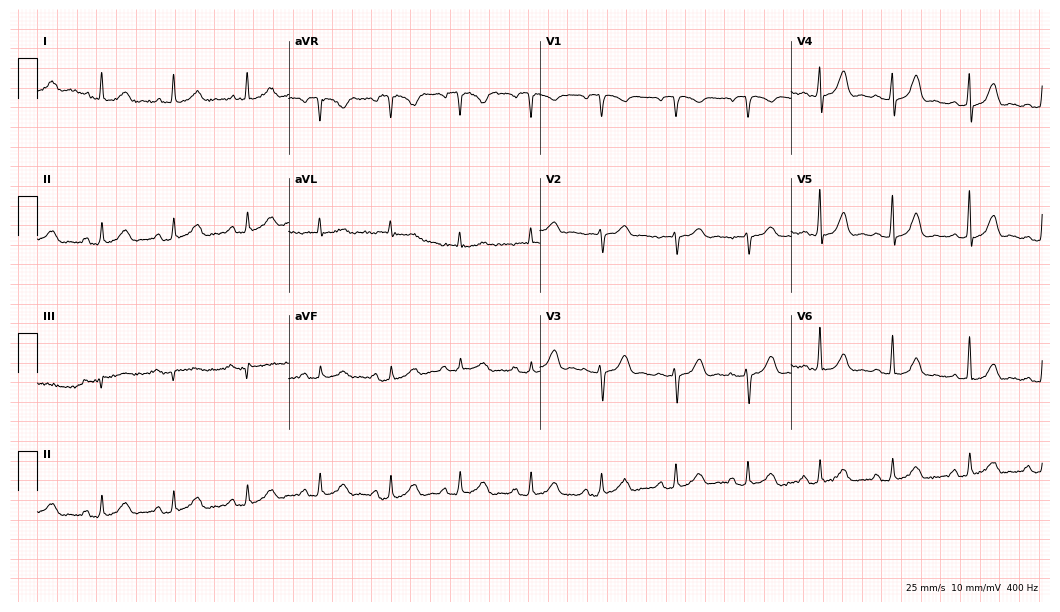
Resting 12-lead electrocardiogram. Patient: an 82-year-old female. Read as a normal ECG.